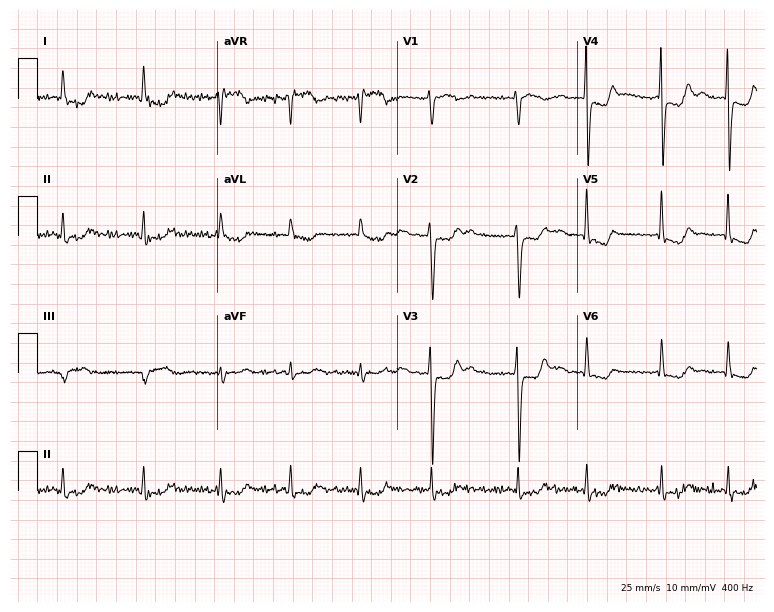
12-lead ECG from a 71-year-old man. Findings include atrial fibrillation (AF).